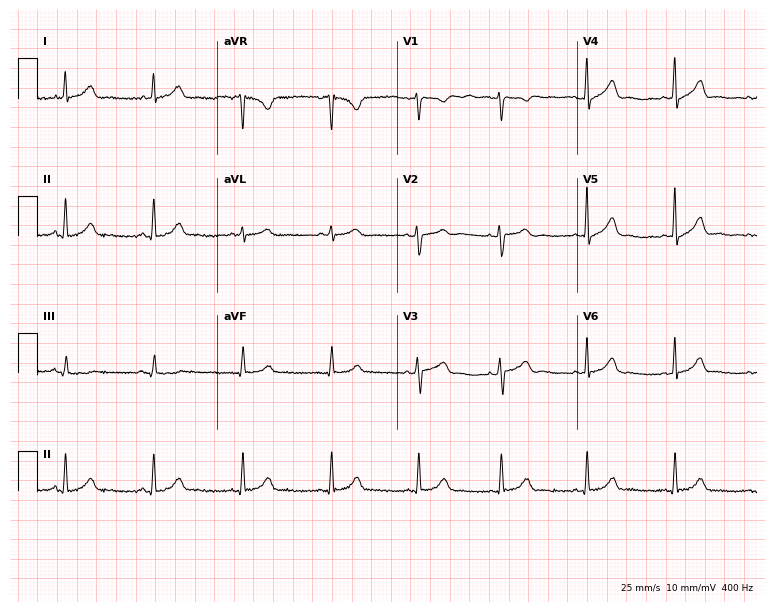
Electrocardiogram (7.3-second recording at 400 Hz), a 33-year-old woman. Of the six screened findings (first-degree AV block, right bundle branch block, left bundle branch block, sinus bradycardia, atrial fibrillation, sinus tachycardia), none is recorded. Only these six findings were labelled.